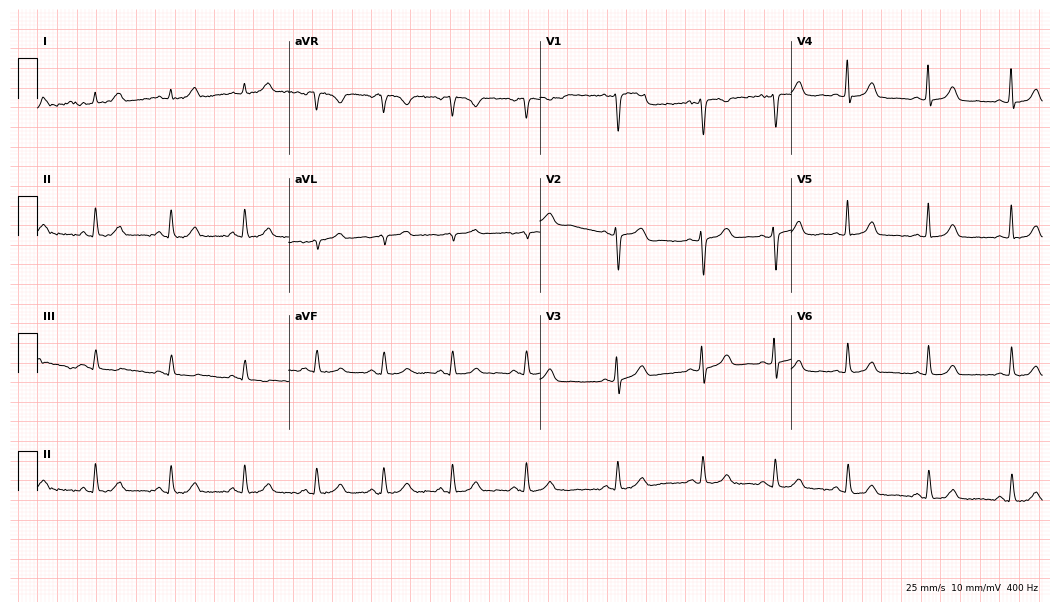
ECG (10.2-second recording at 400 Hz) — a 27-year-old woman. Labelled as a normal ECG.